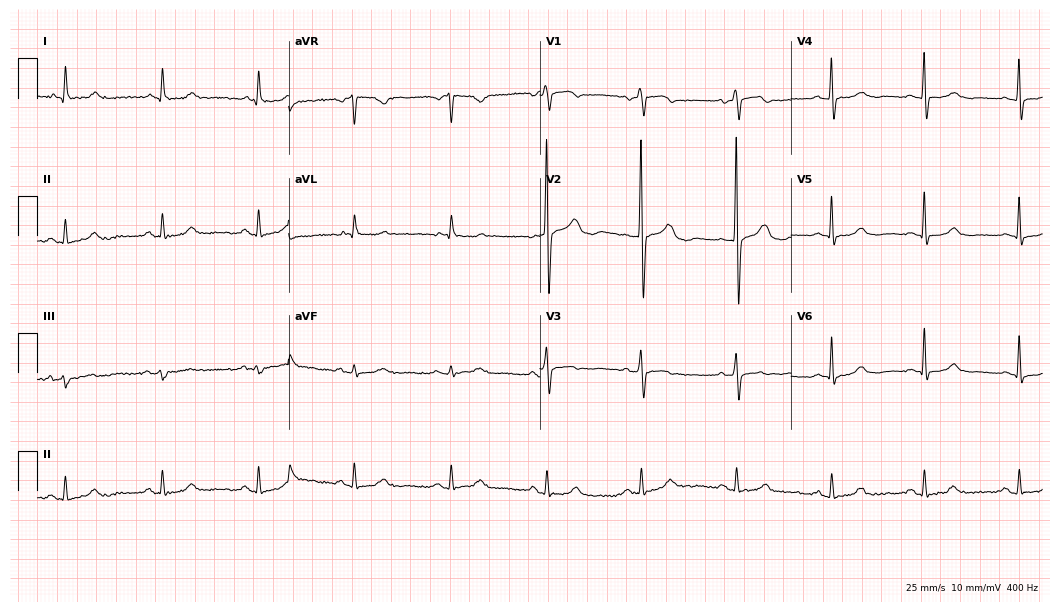
12-lead ECG from an 82-year-old female (10.2-second recording at 400 Hz). No first-degree AV block, right bundle branch block, left bundle branch block, sinus bradycardia, atrial fibrillation or sinus tachycardia recorded for this tracing.